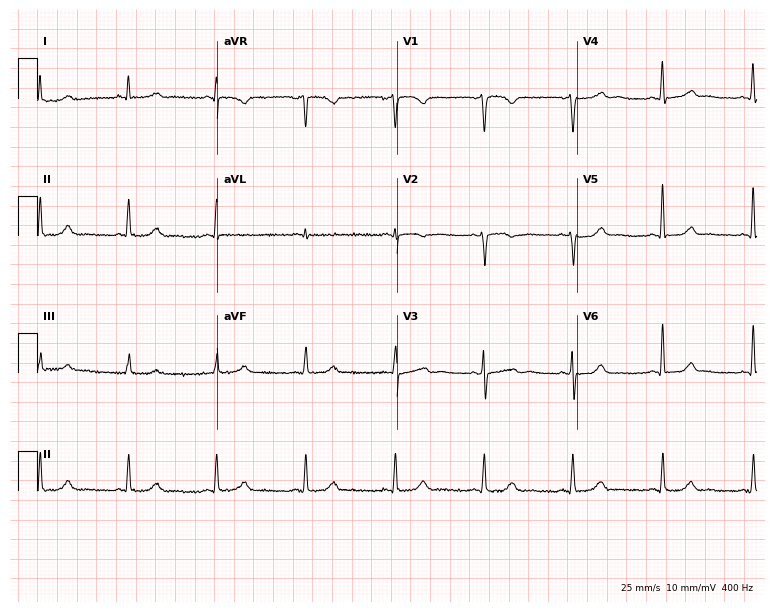
Standard 12-lead ECG recorded from a female, 52 years old. Read as a normal ECG.